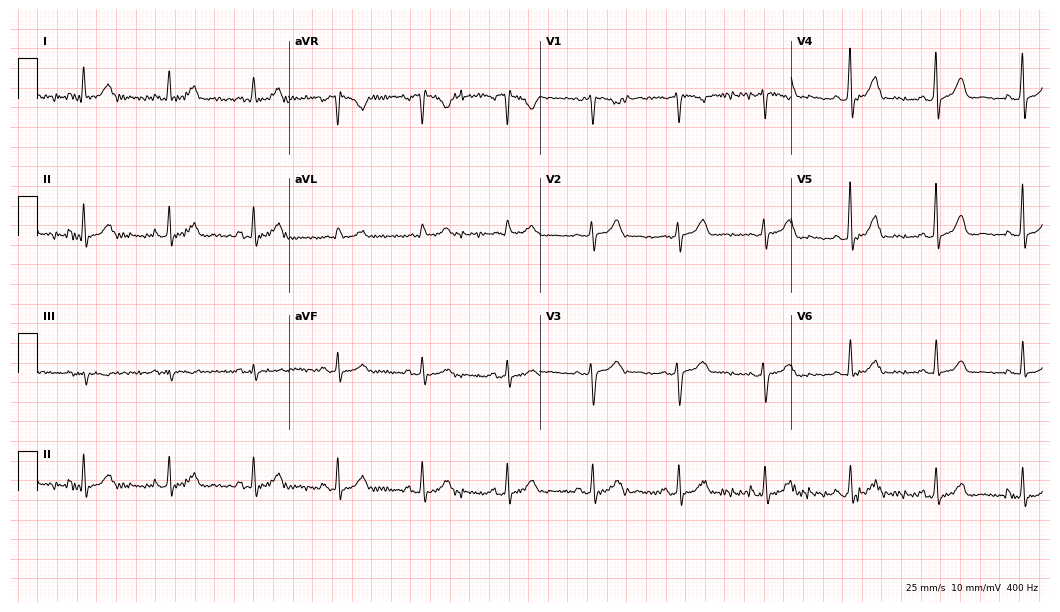
Electrocardiogram (10.2-second recording at 400 Hz), a female patient, 60 years old. Overall reading on record: normal ECG.